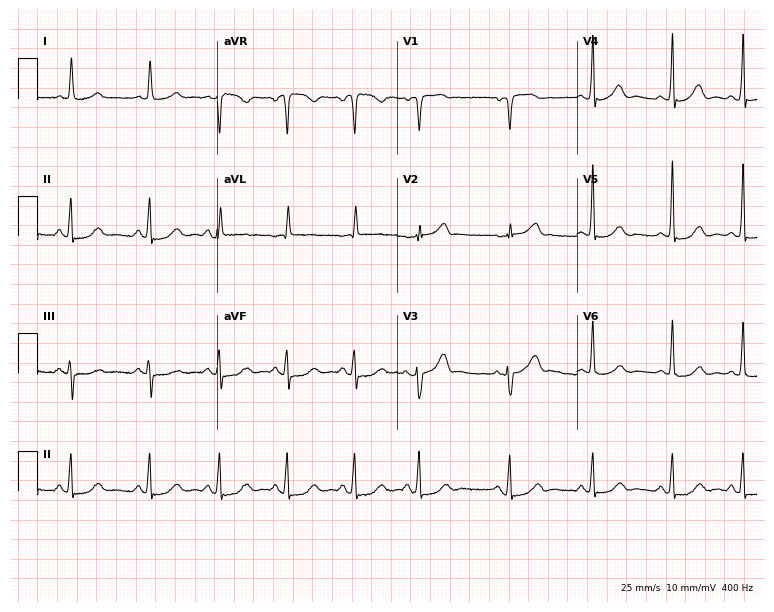
Resting 12-lead electrocardiogram. Patient: a woman, 79 years old. Read as a normal ECG.